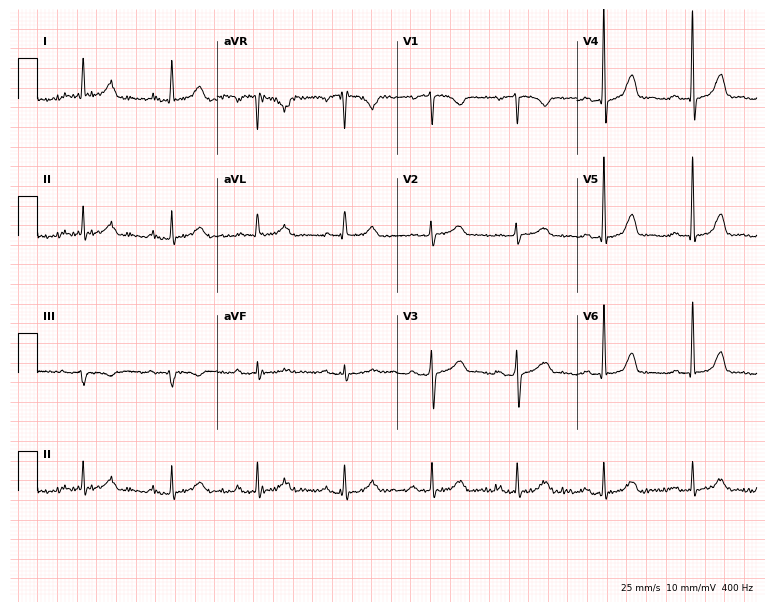
12-lead ECG from a 72-year-old female (7.3-second recording at 400 Hz). Recorded interpretation: within normal limits.